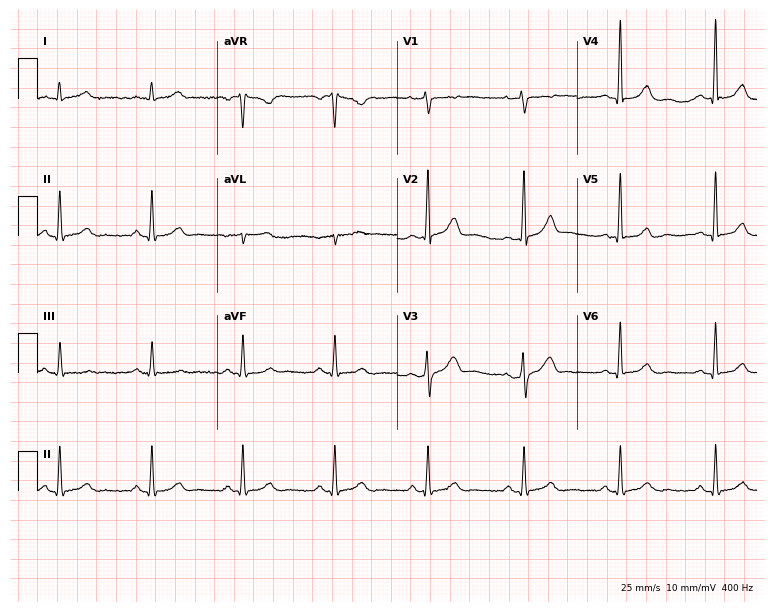
12-lead ECG from a male patient, 51 years old. Labelled as a normal ECG.